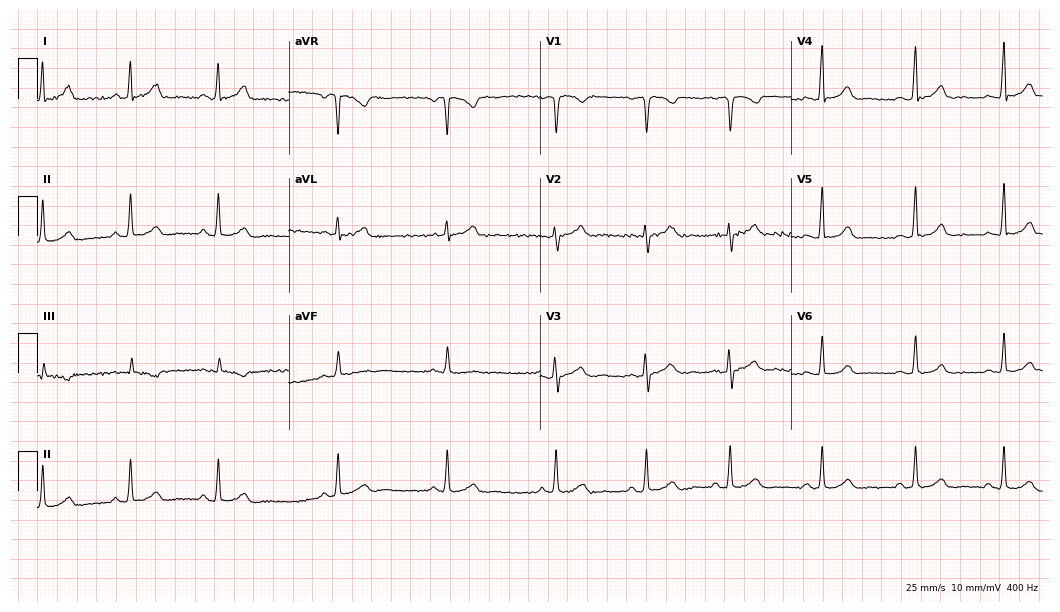
ECG (10.2-second recording at 400 Hz) — a woman, 30 years old. Labelled as a normal ECG.